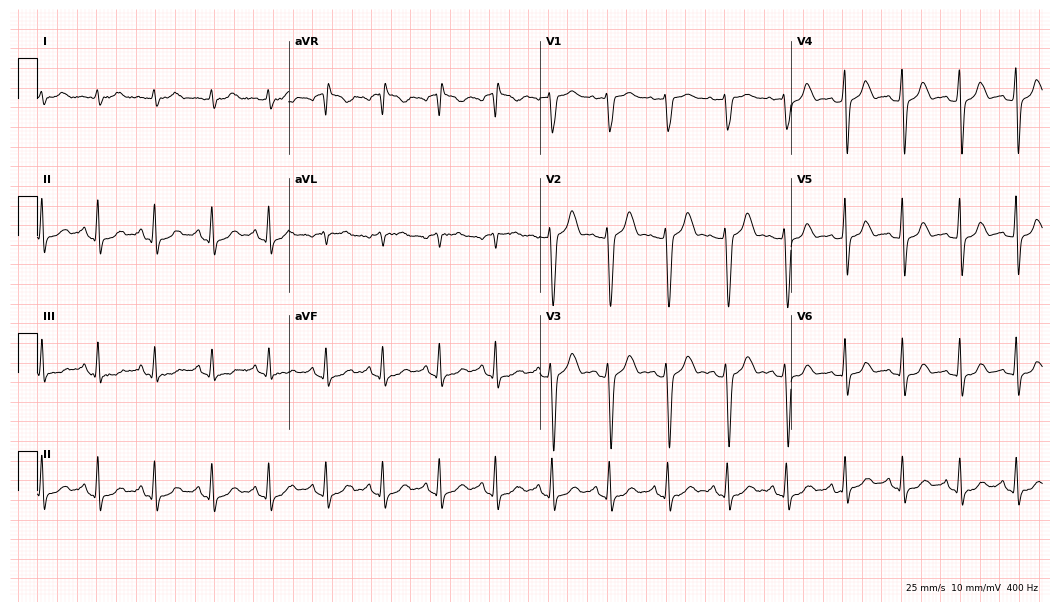
12-lead ECG from a female patient, 43 years old (10.2-second recording at 400 Hz). No first-degree AV block, right bundle branch block, left bundle branch block, sinus bradycardia, atrial fibrillation or sinus tachycardia recorded for this tracing. Other findings, if any, are not listed.